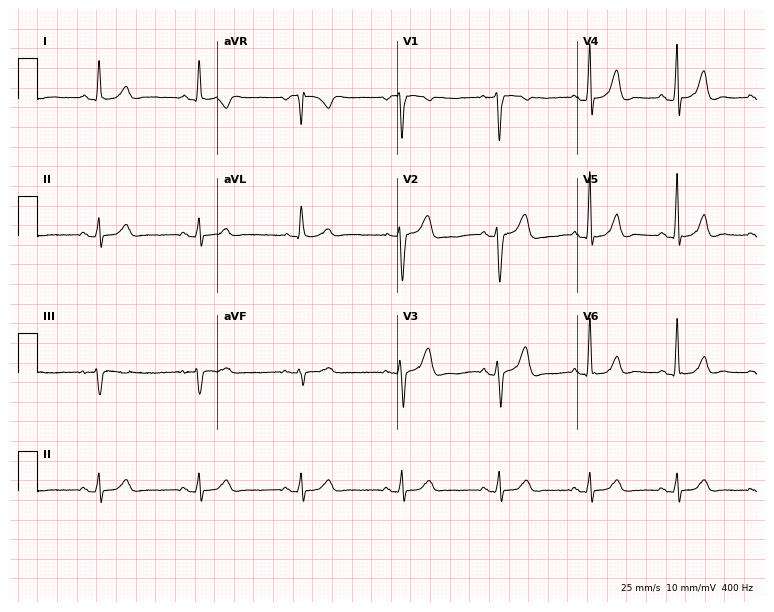
ECG — a 62-year-old female. Findings include sinus bradycardia (a sinus rate of 50 beats per minute or less).